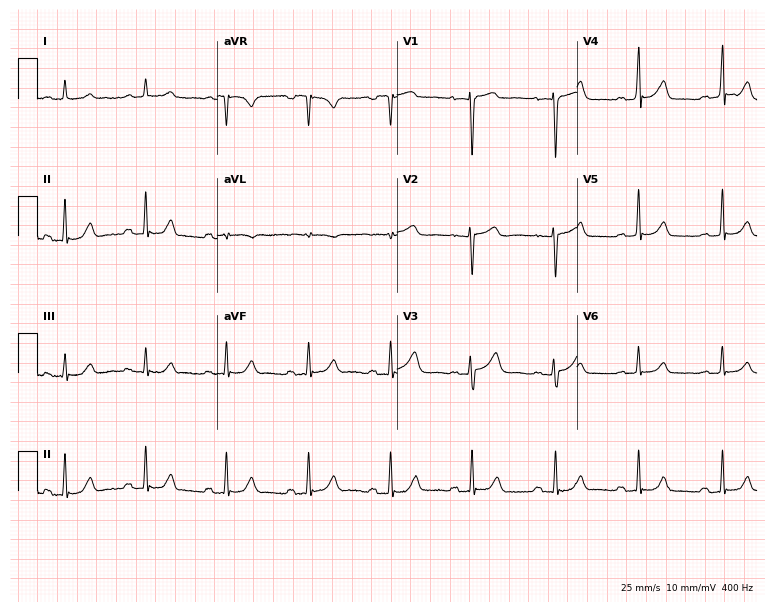
ECG — a man, 52 years old. Labelled as a normal ECG.